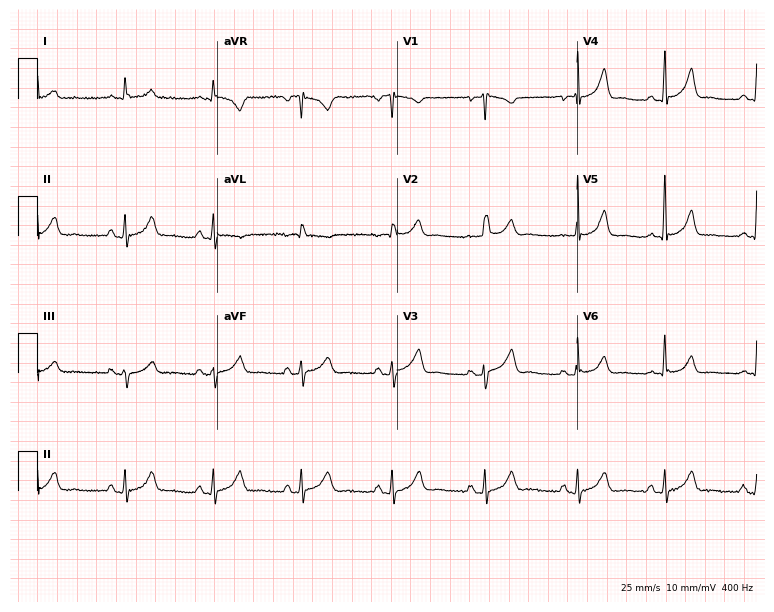
12-lead ECG from a female patient, 49 years old. Recorded interpretation: within normal limits.